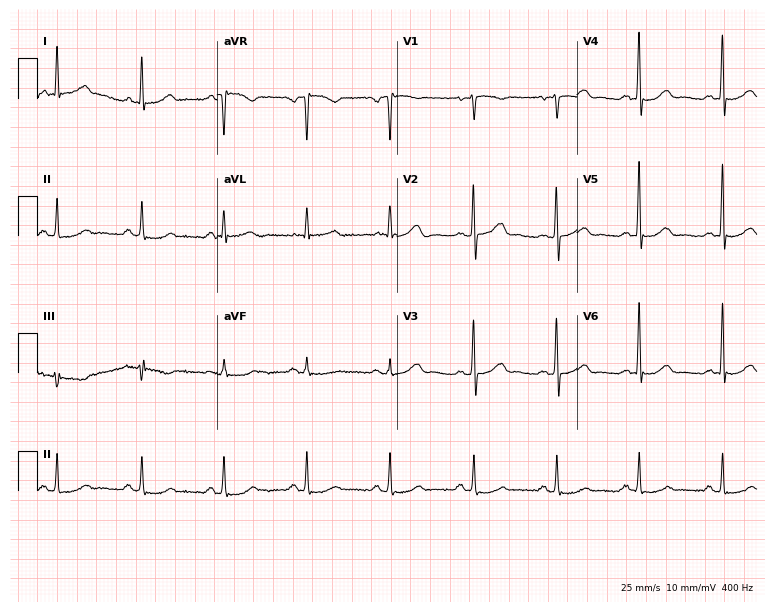
ECG (7.3-second recording at 400 Hz) — a 51-year-old female. Labelled as a normal ECG.